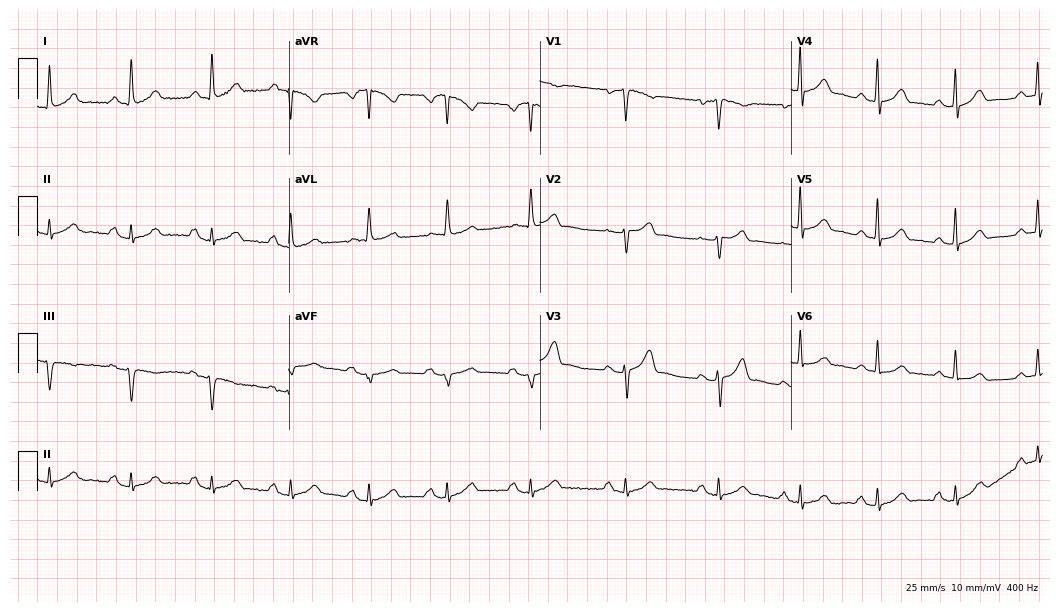
ECG — a woman, 49 years old. Screened for six findings — first-degree AV block, right bundle branch block, left bundle branch block, sinus bradycardia, atrial fibrillation, sinus tachycardia — none is recorded.